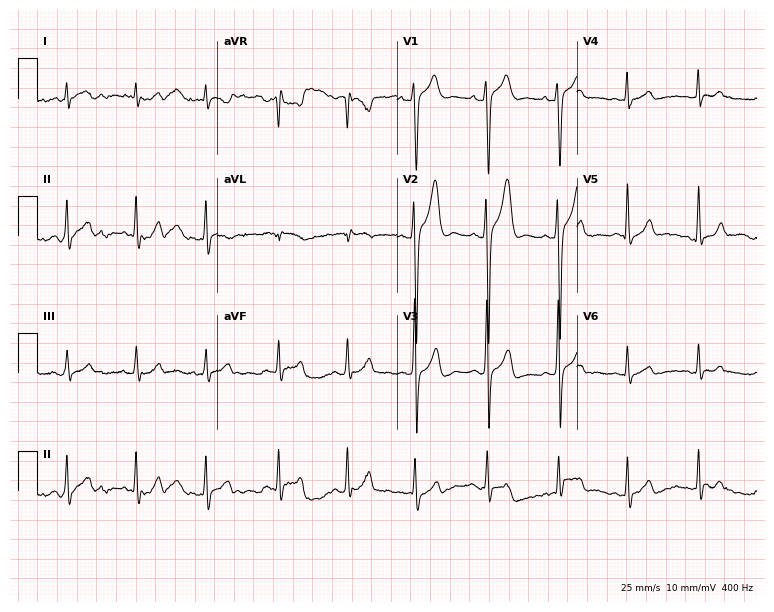
Standard 12-lead ECG recorded from a man, 38 years old. Read as a normal ECG.